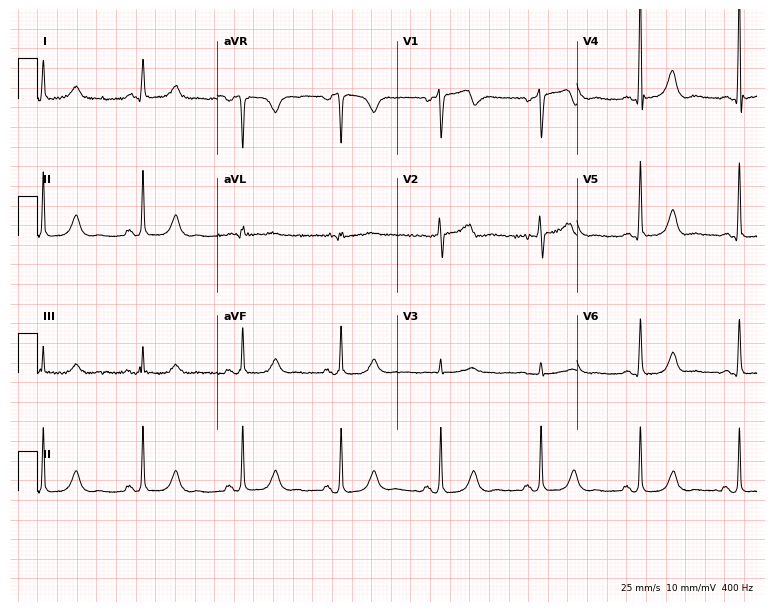
Standard 12-lead ECG recorded from a 45-year-old man (7.3-second recording at 400 Hz). Read as a normal ECG.